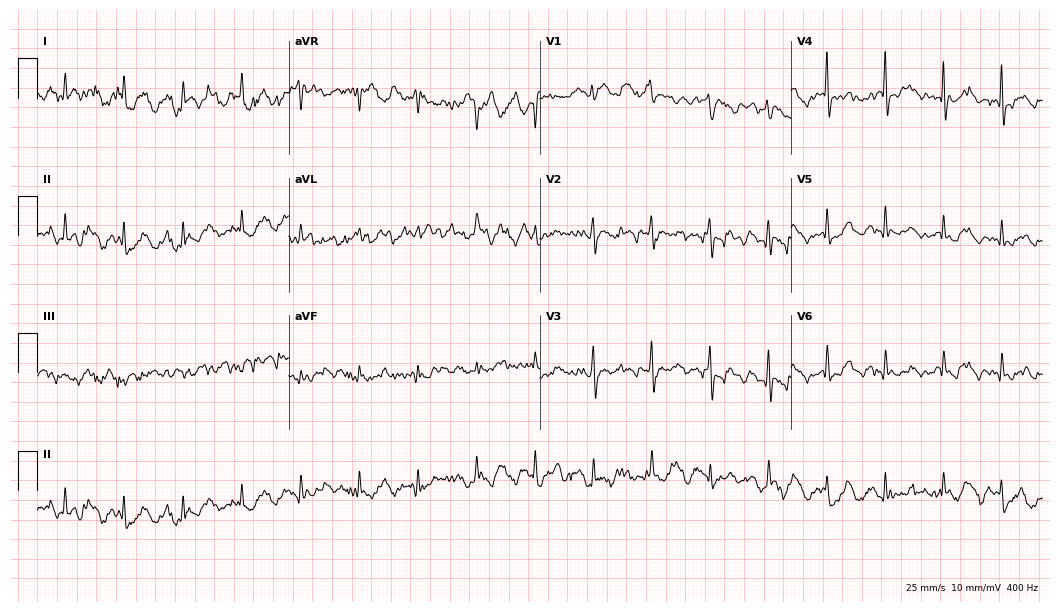
12-lead ECG from a 77-year-old female. No first-degree AV block, right bundle branch block, left bundle branch block, sinus bradycardia, atrial fibrillation or sinus tachycardia recorded for this tracing.